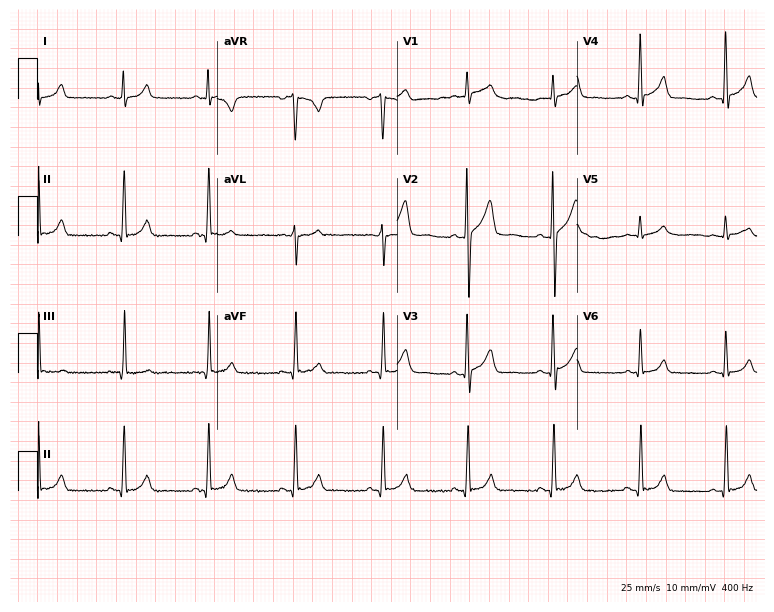
12-lead ECG (7.3-second recording at 400 Hz) from a male patient, 40 years old. Labelled as a normal ECG.